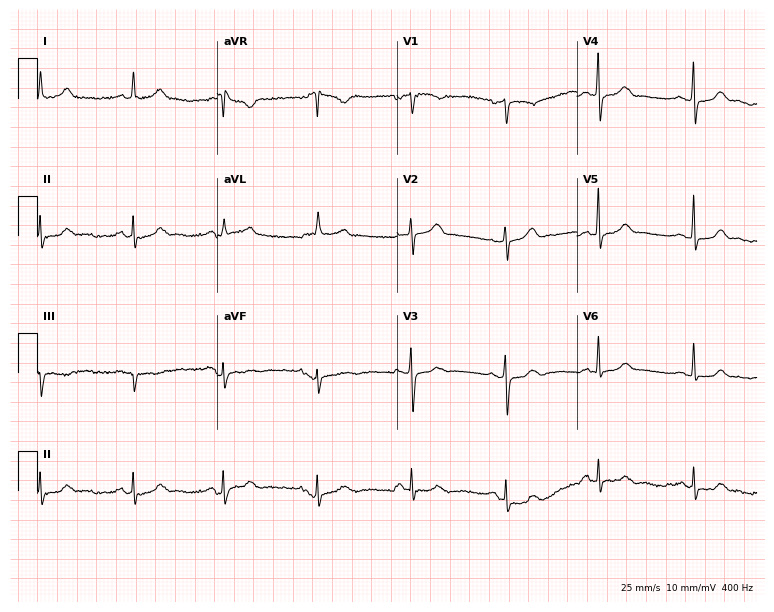
Standard 12-lead ECG recorded from a 60-year-old female (7.3-second recording at 400 Hz). Read as a normal ECG.